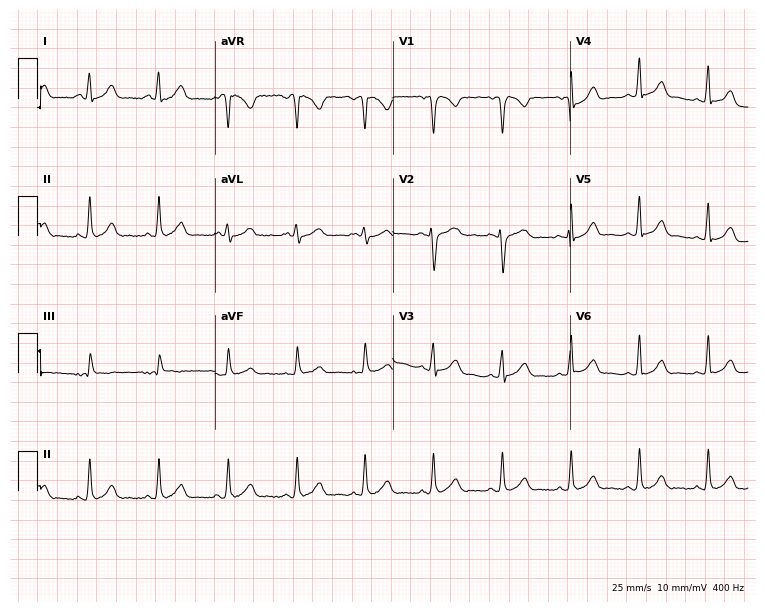
12-lead ECG from a female, 22 years old. Labelled as a normal ECG.